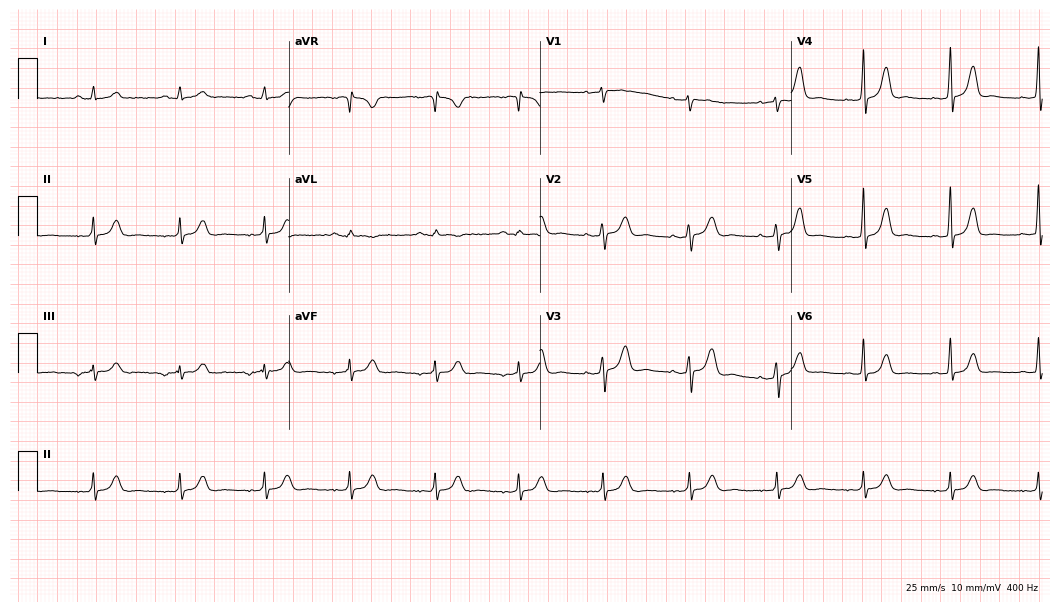
12-lead ECG from a female patient, 50 years old. Recorded interpretation: within normal limits.